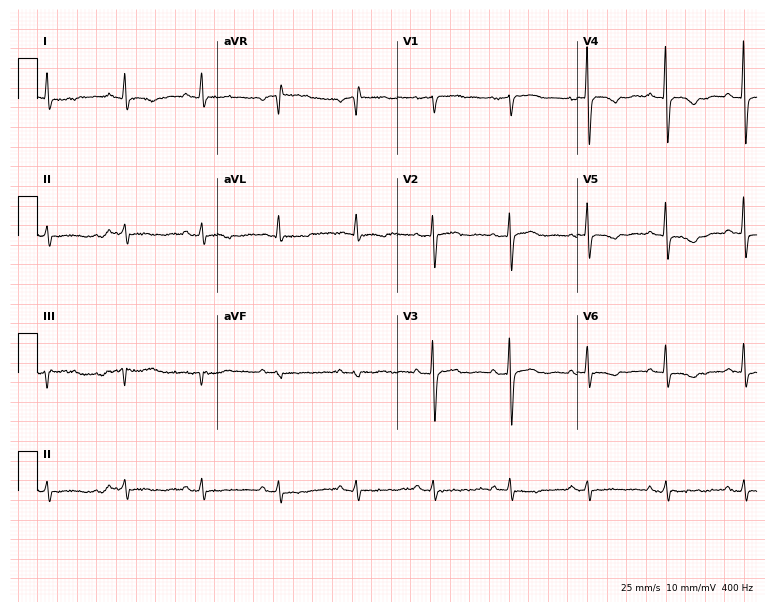
12-lead ECG (7.3-second recording at 400 Hz) from a woman, 75 years old. Screened for six findings — first-degree AV block, right bundle branch block, left bundle branch block, sinus bradycardia, atrial fibrillation, sinus tachycardia — none is recorded. Findings outside these six are not listed.